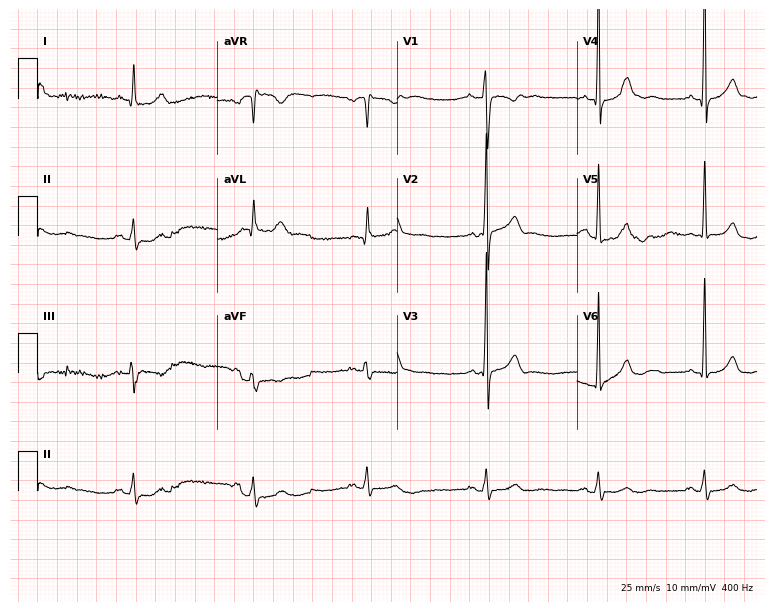
Electrocardiogram, a 67-year-old male patient. Overall reading on record: normal ECG.